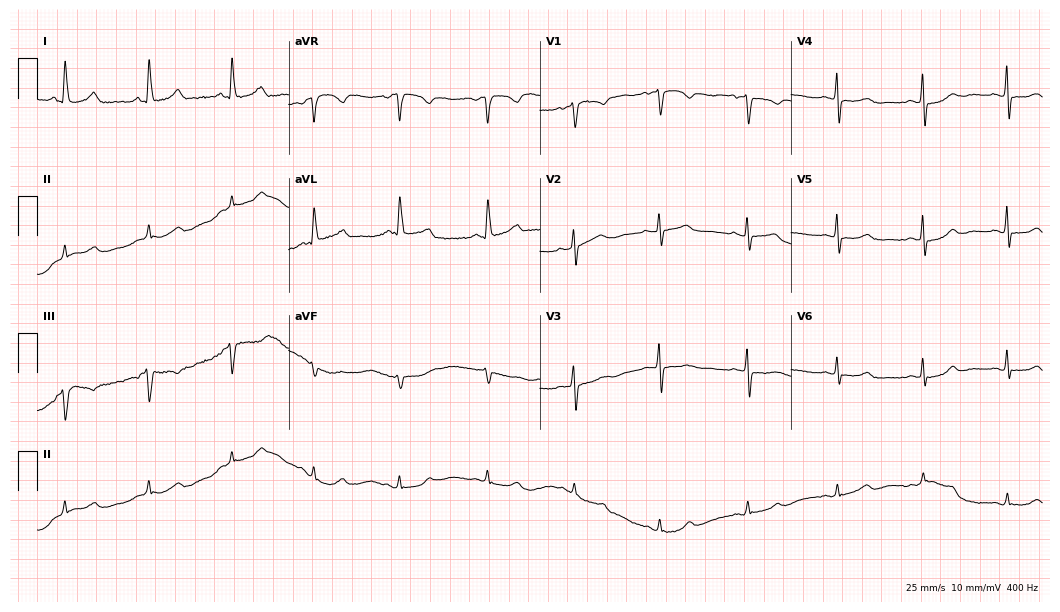
12-lead ECG from a female, 68 years old. Labelled as a normal ECG.